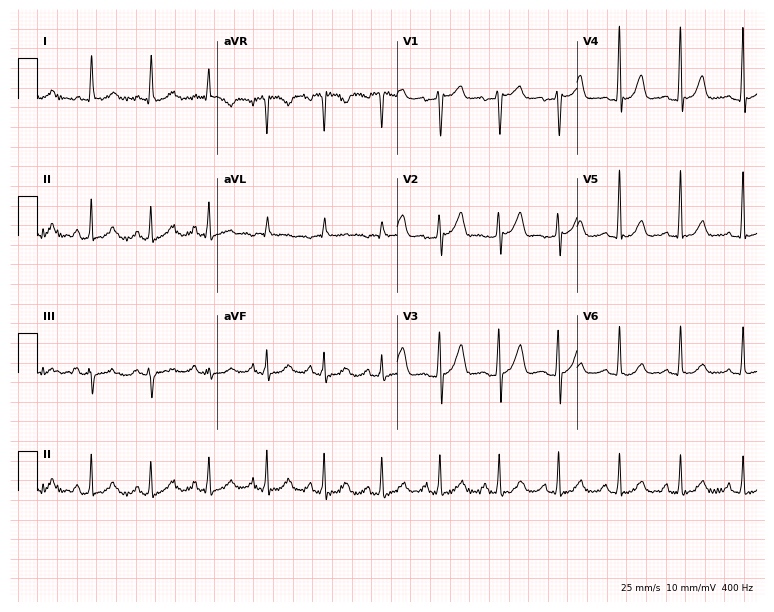
ECG (7.3-second recording at 400 Hz) — a man, 65 years old. Labelled as a normal ECG.